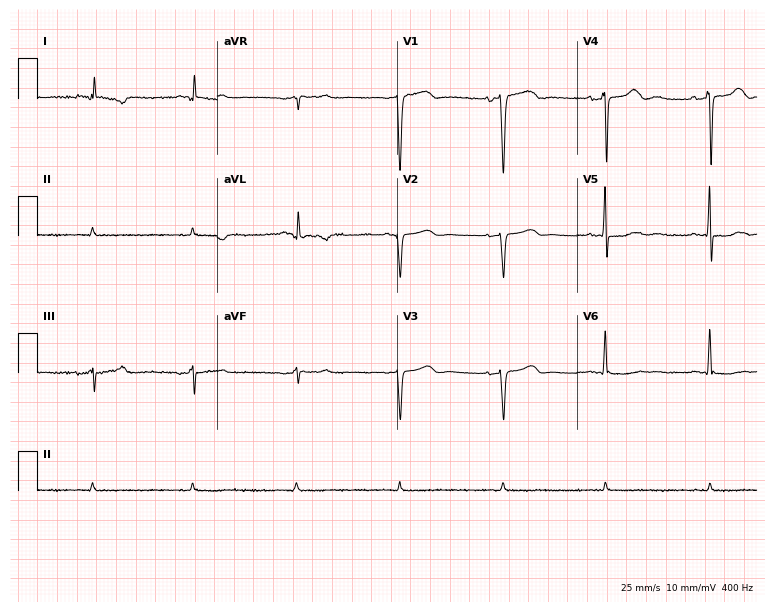
12-lead ECG from a woman, 65 years old. No first-degree AV block, right bundle branch block, left bundle branch block, sinus bradycardia, atrial fibrillation or sinus tachycardia recorded for this tracing. Other findings, if any, are not listed.